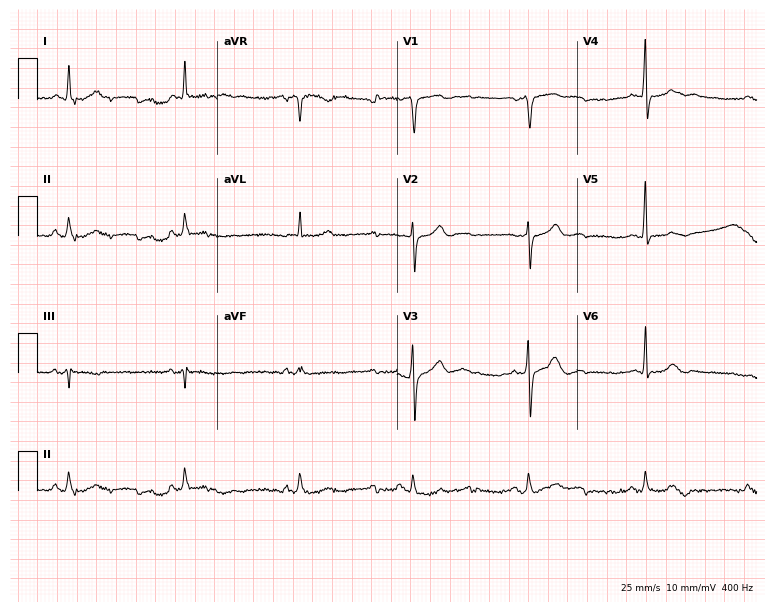
ECG — a man, 67 years old. Screened for six findings — first-degree AV block, right bundle branch block (RBBB), left bundle branch block (LBBB), sinus bradycardia, atrial fibrillation (AF), sinus tachycardia — none is recorded.